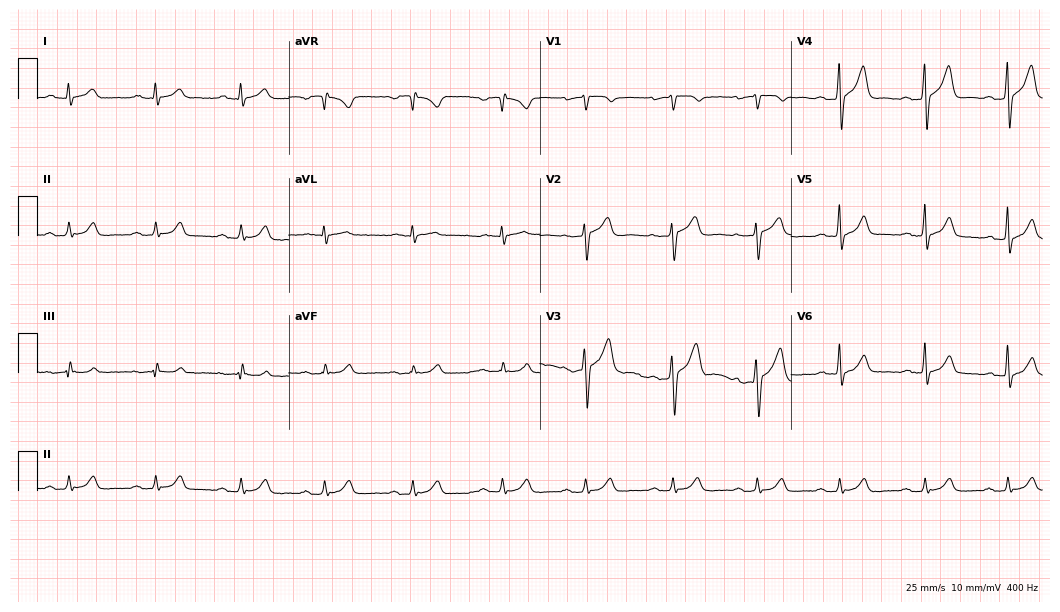
12-lead ECG (10.2-second recording at 400 Hz) from a man, 41 years old. Findings include first-degree AV block.